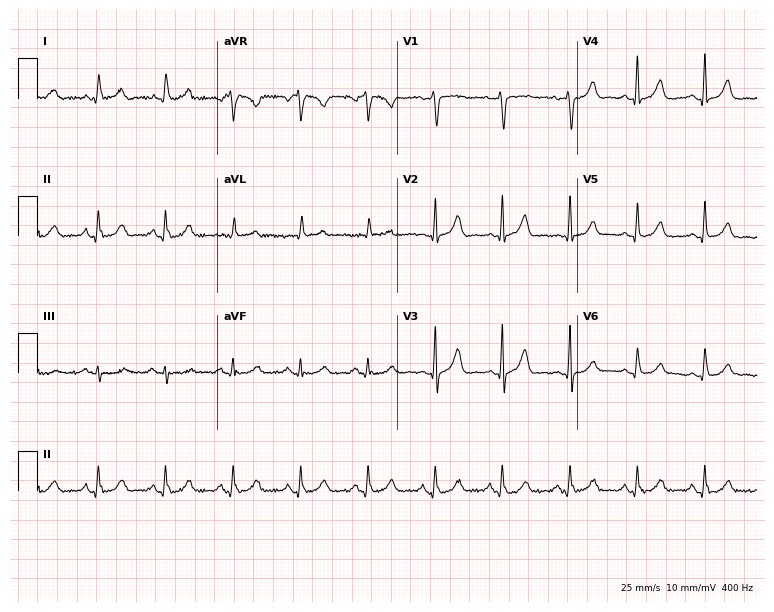
ECG — a female patient, 61 years old. Labelled as a normal ECG.